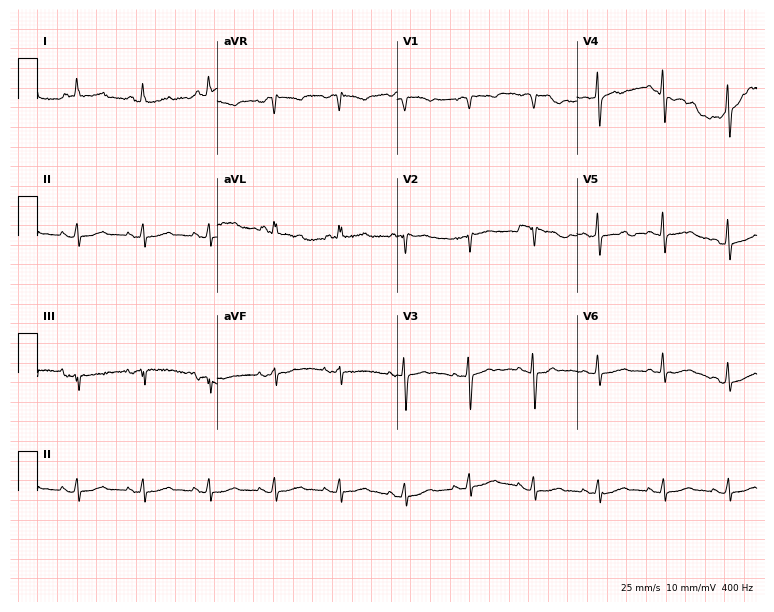
12-lead ECG from a female patient, 78 years old. Screened for six findings — first-degree AV block, right bundle branch block, left bundle branch block, sinus bradycardia, atrial fibrillation, sinus tachycardia — none is recorded.